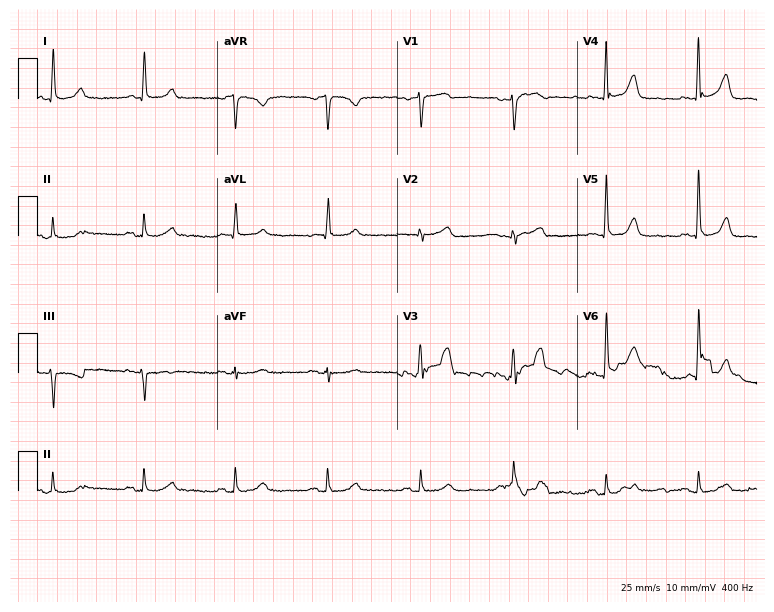
Resting 12-lead electrocardiogram (7.3-second recording at 400 Hz). Patient: a female, 82 years old. Read as a normal ECG.